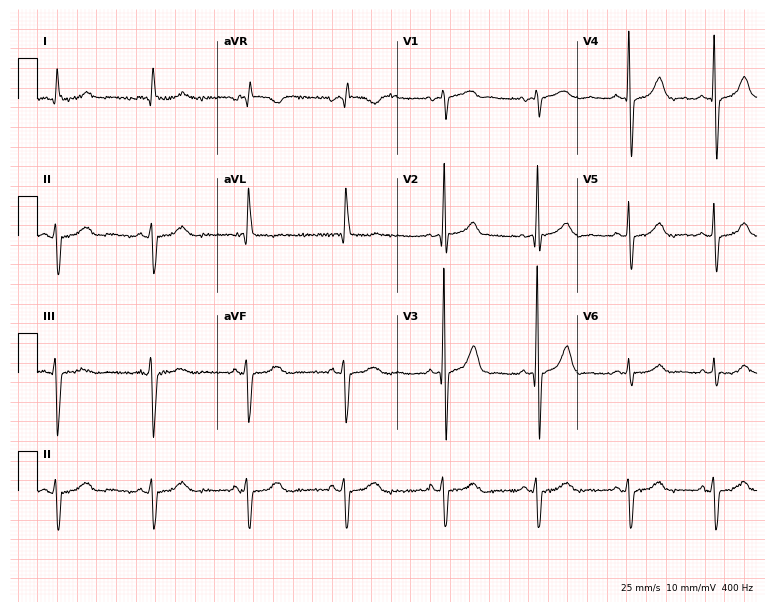
Resting 12-lead electrocardiogram. Patient: a 70-year-old man. None of these six findings is recorded: first-degree AV block, right bundle branch block, left bundle branch block, sinus bradycardia, atrial fibrillation, sinus tachycardia. Only these six findings were labelled.